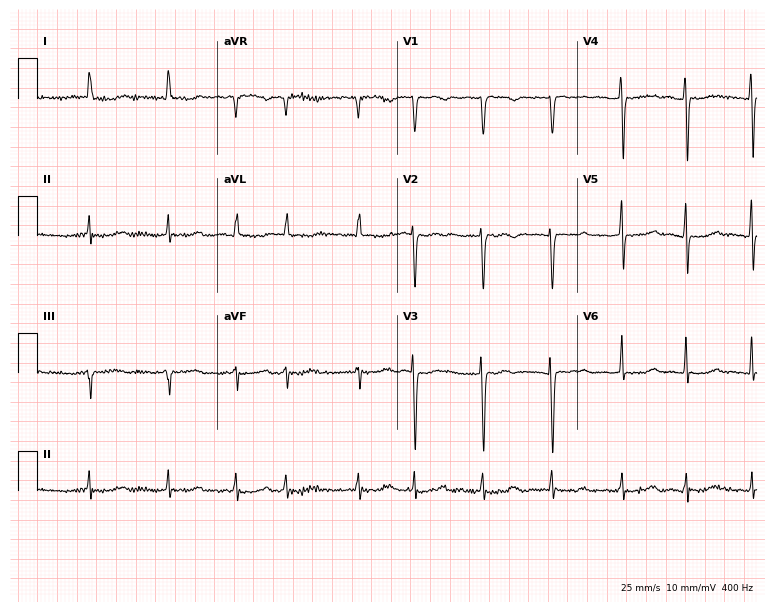
12-lead ECG from a female, 74 years old. Screened for six findings — first-degree AV block, right bundle branch block, left bundle branch block, sinus bradycardia, atrial fibrillation, sinus tachycardia — none is recorded.